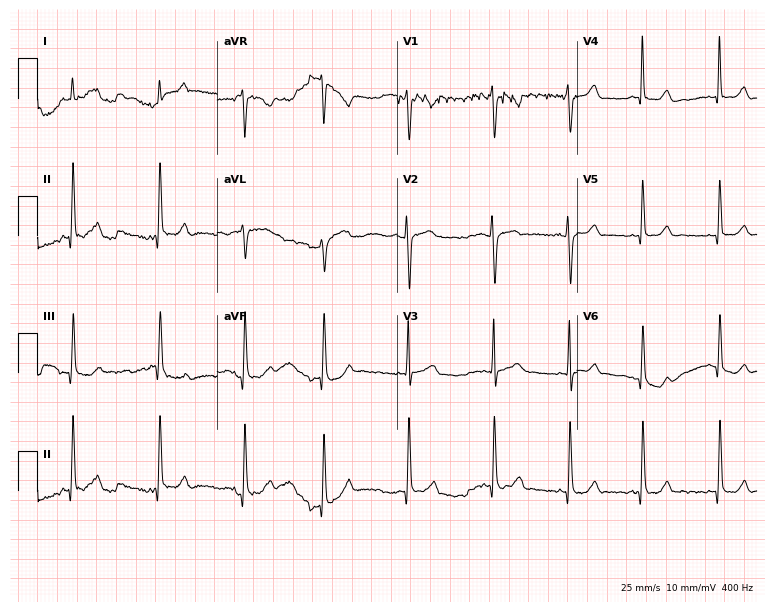
ECG (7.3-second recording at 400 Hz) — a 21-year-old woman. Screened for six findings — first-degree AV block, right bundle branch block (RBBB), left bundle branch block (LBBB), sinus bradycardia, atrial fibrillation (AF), sinus tachycardia — none is recorded. Other findings, if any, are not listed.